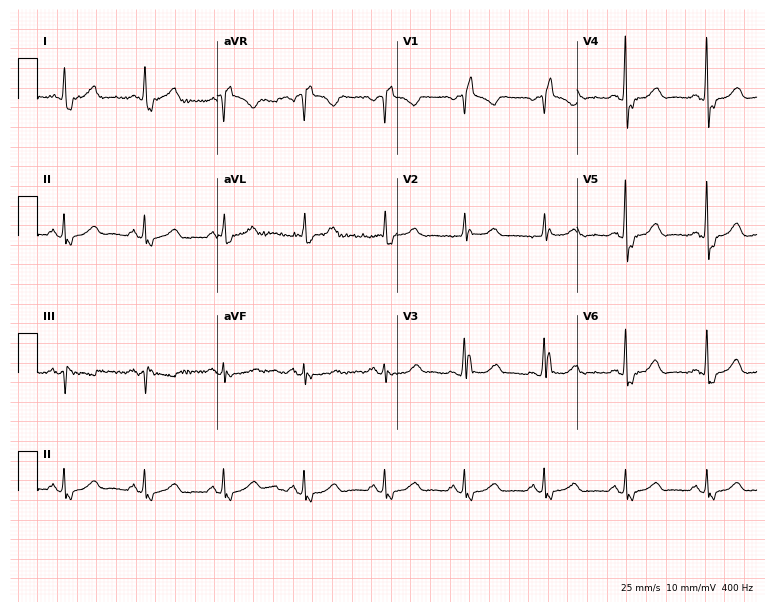
Resting 12-lead electrocardiogram (7.3-second recording at 400 Hz). Patient: a 79-year-old female. The tracing shows right bundle branch block.